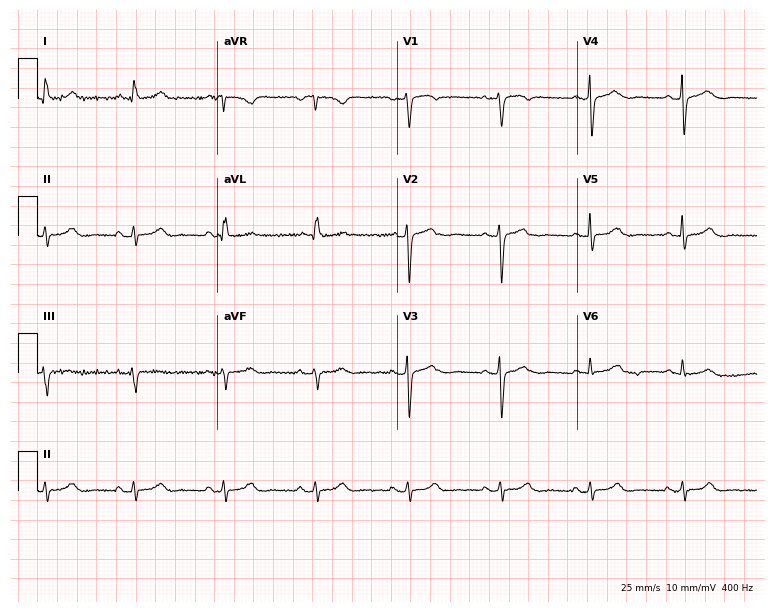
Standard 12-lead ECG recorded from a woman, 66 years old. None of these six findings is recorded: first-degree AV block, right bundle branch block, left bundle branch block, sinus bradycardia, atrial fibrillation, sinus tachycardia.